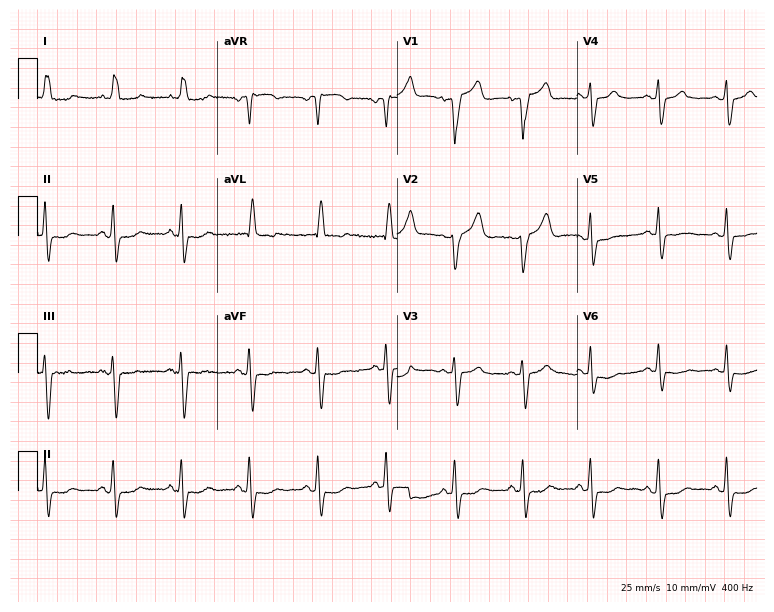
ECG (7.3-second recording at 400 Hz) — a 77-year-old woman. Screened for six findings — first-degree AV block, right bundle branch block (RBBB), left bundle branch block (LBBB), sinus bradycardia, atrial fibrillation (AF), sinus tachycardia — none is recorded.